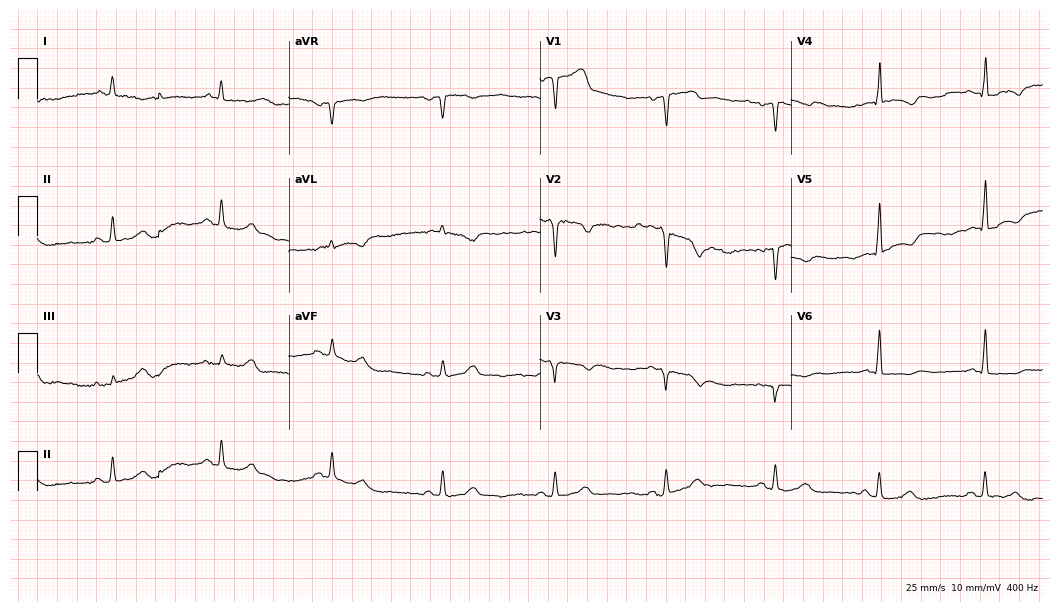
Standard 12-lead ECG recorded from a 70-year-old male (10.2-second recording at 400 Hz). None of these six findings is recorded: first-degree AV block, right bundle branch block, left bundle branch block, sinus bradycardia, atrial fibrillation, sinus tachycardia. Other findings, if any, are not listed.